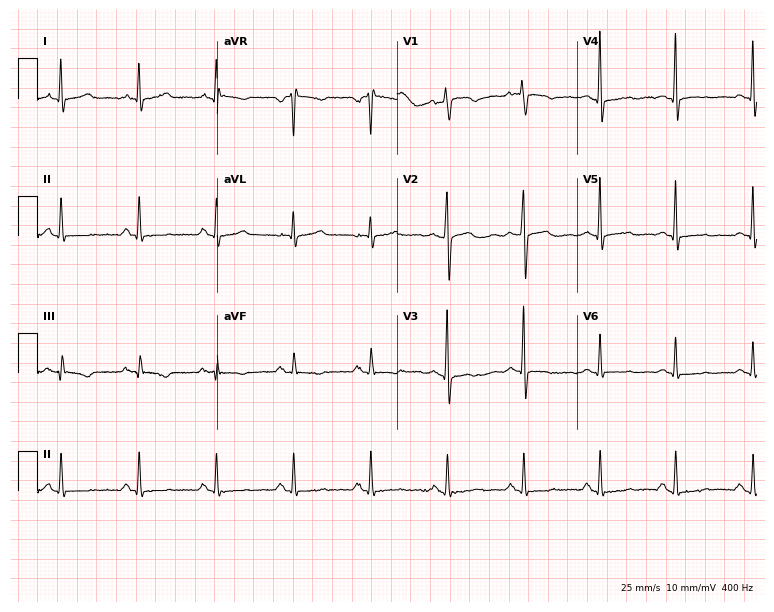
ECG — a woman, 59 years old. Screened for six findings — first-degree AV block, right bundle branch block, left bundle branch block, sinus bradycardia, atrial fibrillation, sinus tachycardia — none is recorded. Other findings, if any, are not listed.